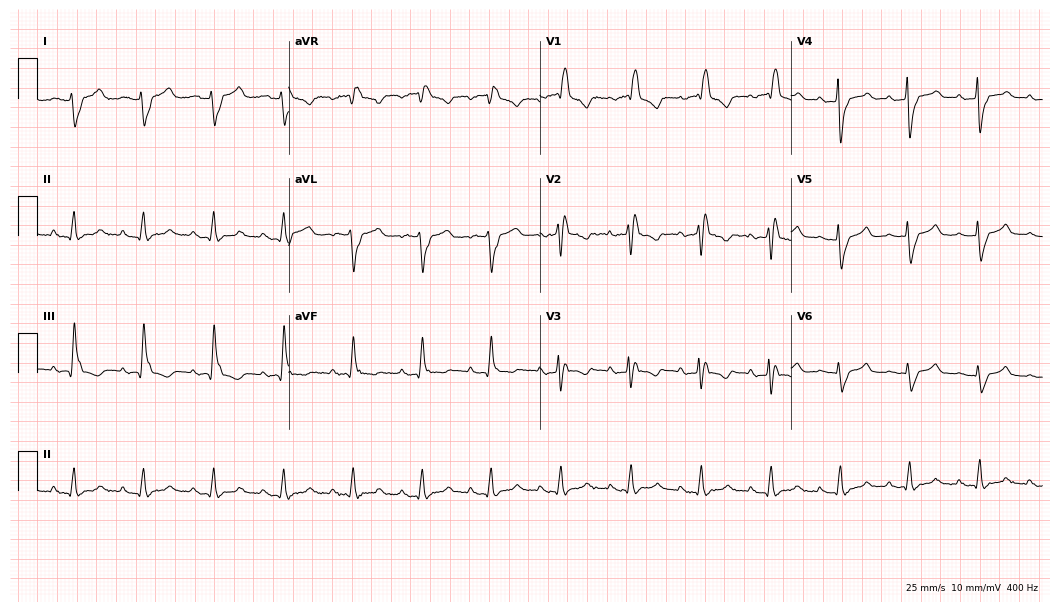
ECG — a 65-year-old male. Findings include right bundle branch block.